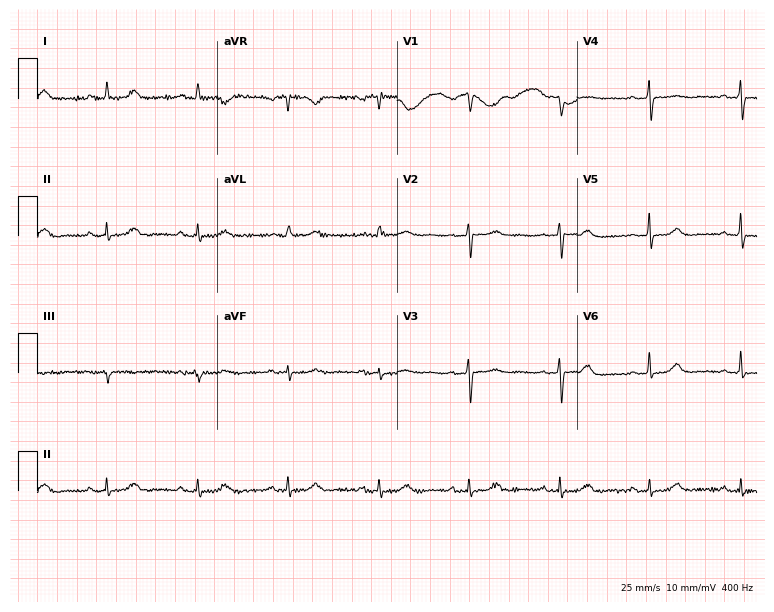
Resting 12-lead electrocardiogram (7.3-second recording at 400 Hz). Patient: a 67-year-old female. None of these six findings is recorded: first-degree AV block, right bundle branch block, left bundle branch block, sinus bradycardia, atrial fibrillation, sinus tachycardia. Findings outside these six are not listed.